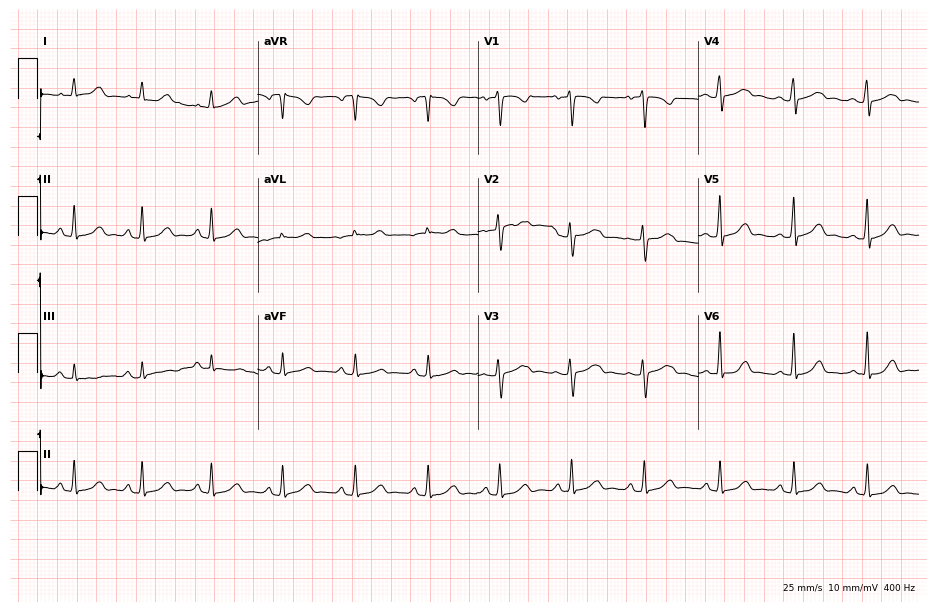
Electrocardiogram, a female, 37 years old. Overall reading on record: normal ECG.